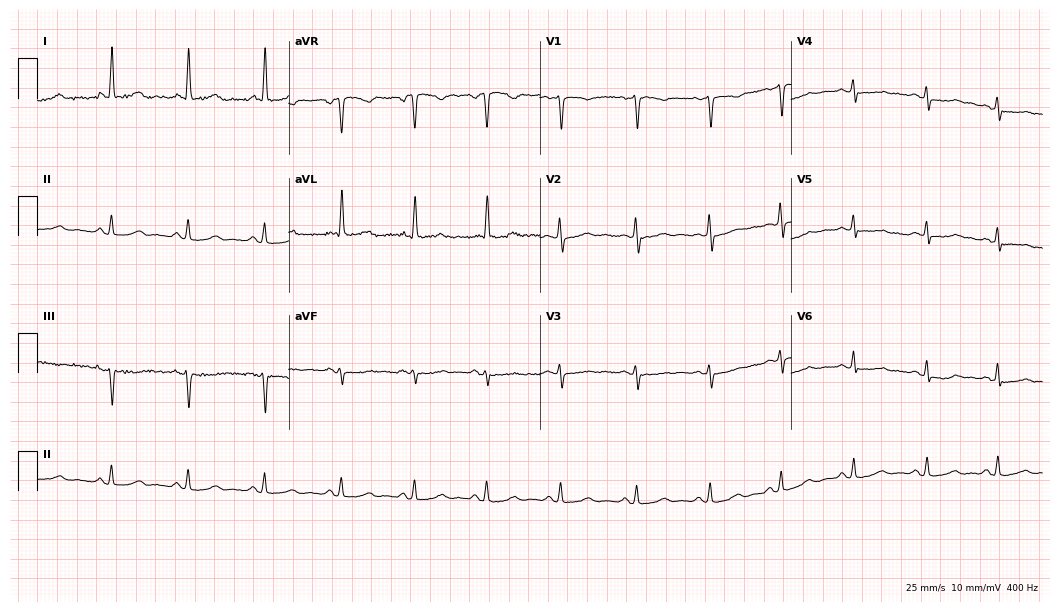
Electrocardiogram, a female patient, 65 years old. Of the six screened findings (first-degree AV block, right bundle branch block (RBBB), left bundle branch block (LBBB), sinus bradycardia, atrial fibrillation (AF), sinus tachycardia), none is recorded.